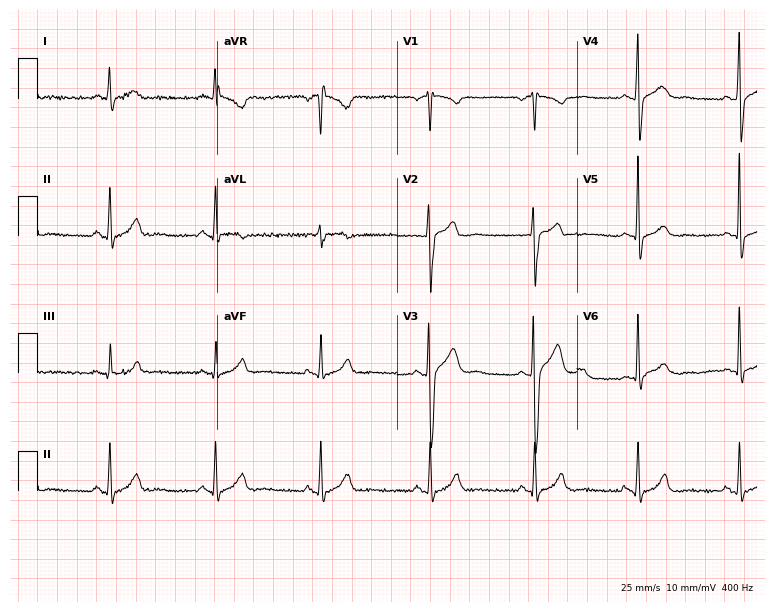
ECG — a male, 38 years old. Screened for six findings — first-degree AV block, right bundle branch block, left bundle branch block, sinus bradycardia, atrial fibrillation, sinus tachycardia — none is recorded. Other findings, if any, are not listed.